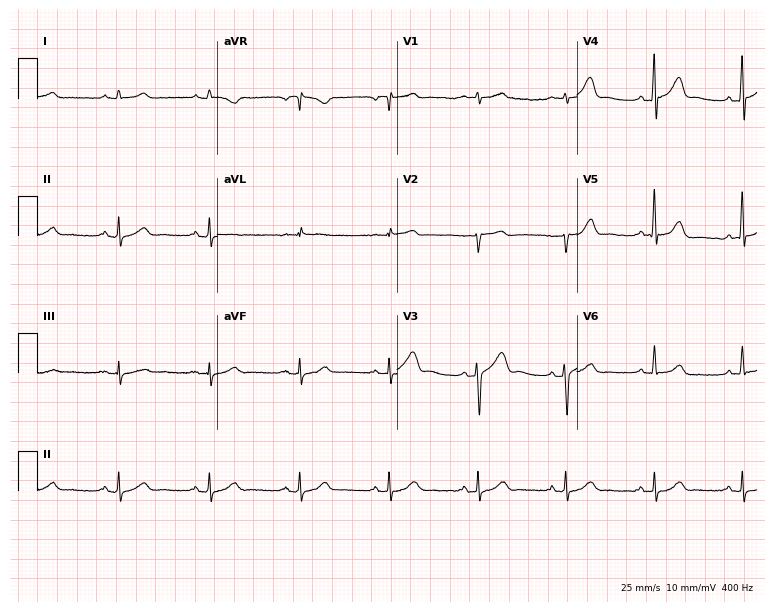
12-lead ECG from a 57-year-old male. Labelled as a normal ECG.